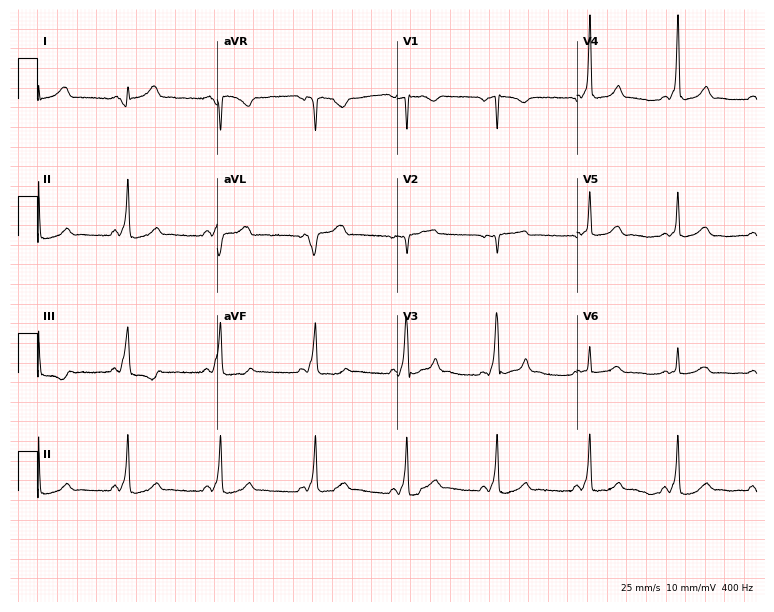
12-lead ECG from a 32-year-old female patient (7.3-second recording at 400 Hz). No first-degree AV block, right bundle branch block, left bundle branch block, sinus bradycardia, atrial fibrillation or sinus tachycardia recorded for this tracing.